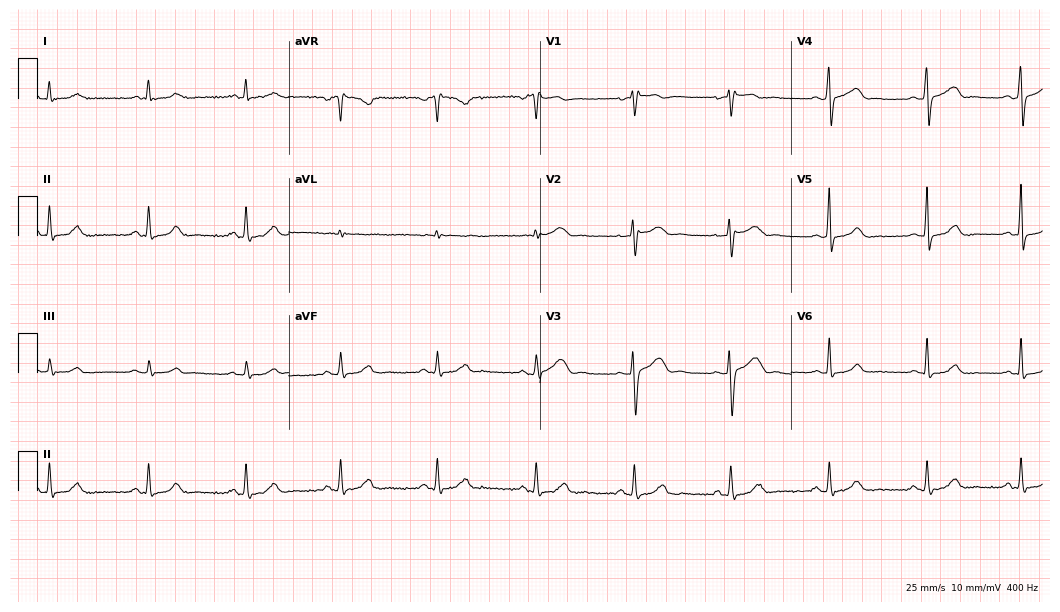
12-lead ECG (10.2-second recording at 400 Hz) from a woman, 33 years old. Screened for six findings — first-degree AV block, right bundle branch block (RBBB), left bundle branch block (LBBB), sinus bradycardia, atrial fibrillation (AF), sinus tachycardia — none is recorded.